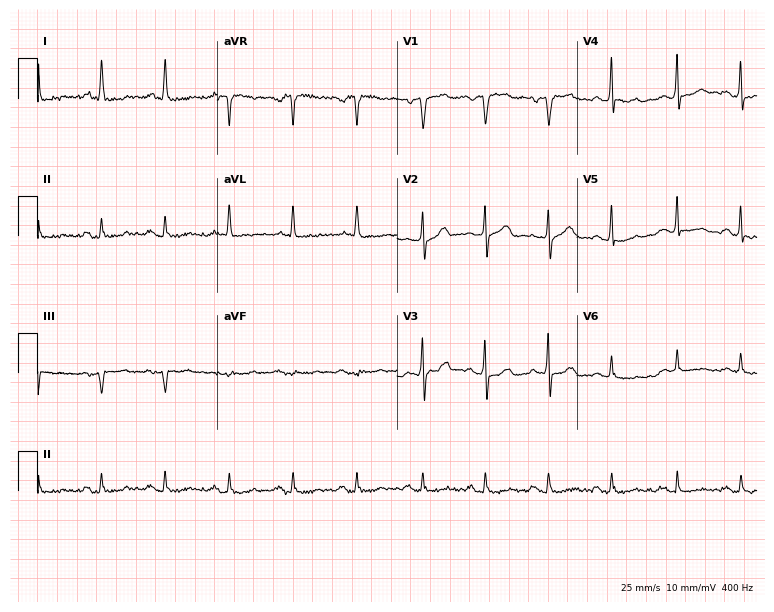
12-lead ECG (7.3-second recording at 400 Hz) from a male patient, 68 years old. Labelled as a normal ECG.